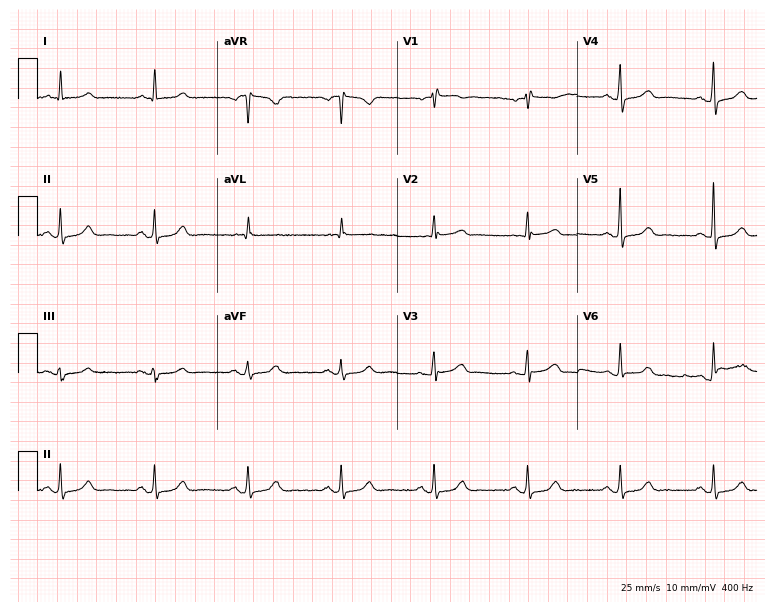
12-lead ECG from an 81-year-old female patient. No first-degree AV block, right bundle branch block (RBBB), left bundle branch block (LBBB), sinus bradycardia, atrial fibrillation (AF) or sinus tachycardia recorded for this tracing. Findings outside these six are not listed.